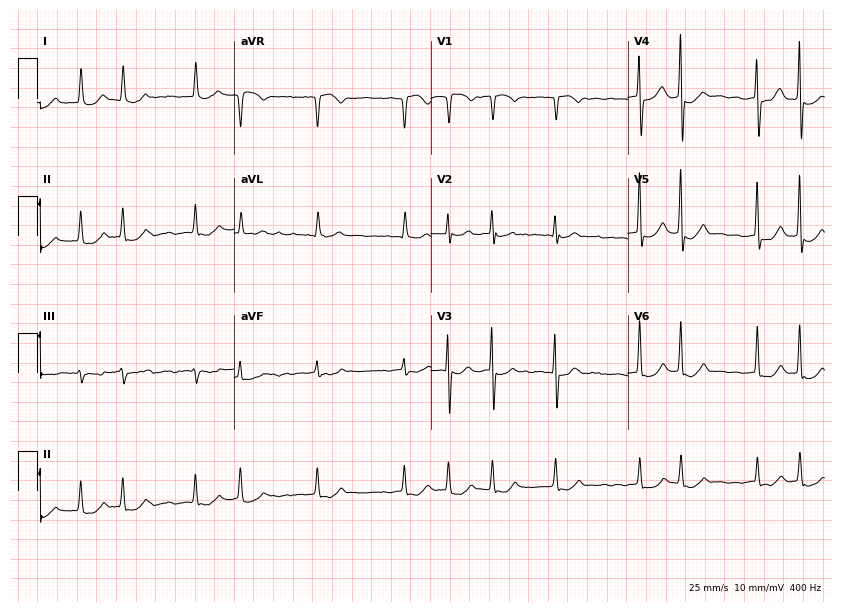
ECG (8-second recording at 400 Hz) — a 77-year-old female. Findings include atrial fibrillation.